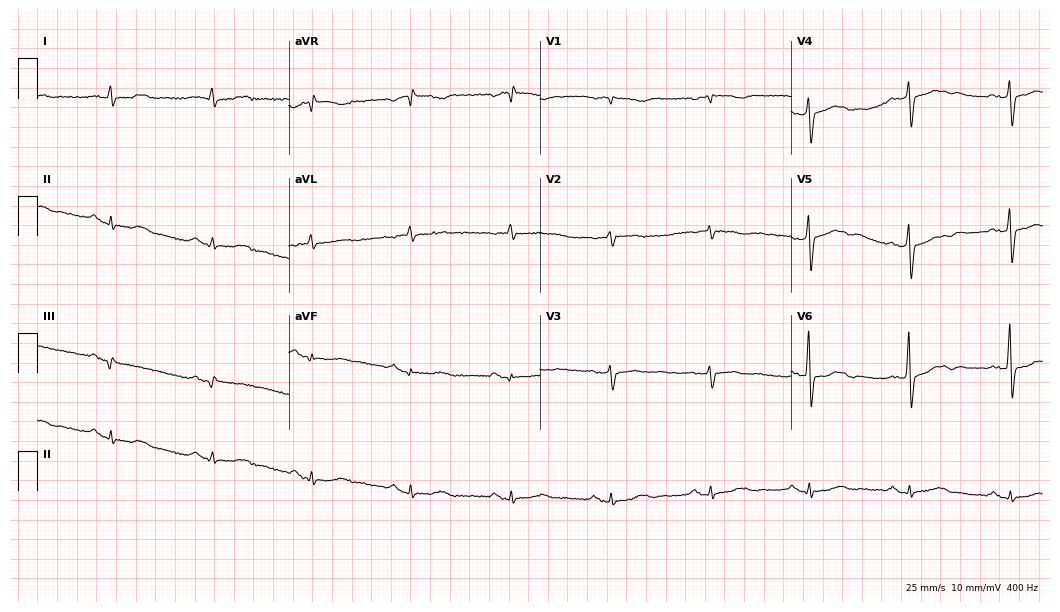
12-lead ECG from an 84-year-old male patient. Screened for six findings — first-degree AV block, right bundle branch block, left bundle branch block, sinus bradycardia, atrial fibrillation, sinus tachycardia — none is recorded.